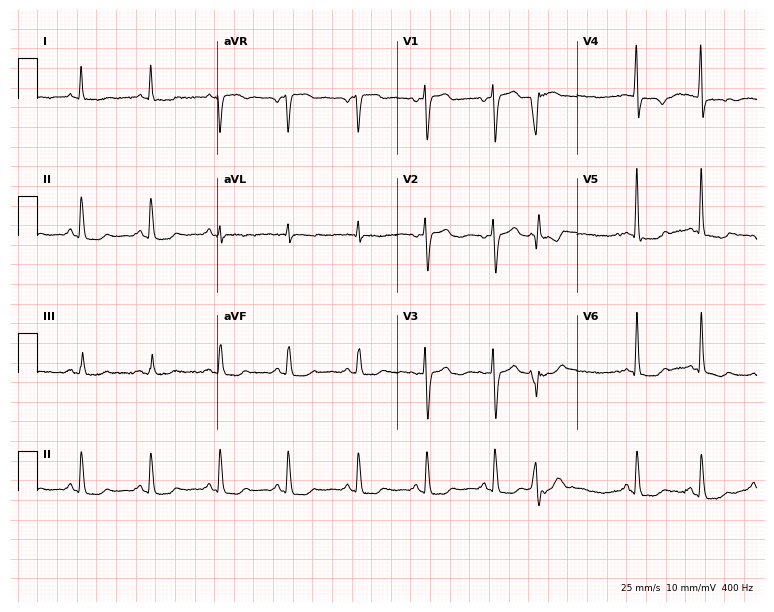
Resting 12-lead electrocardiogram. Patient: a female, 49 years old. None of these six findings is recorded: first-degree AV block, right bundle branch block, left bundle branch block, sinus bradycardia, atrial fibrillation, sinus tachycardia.